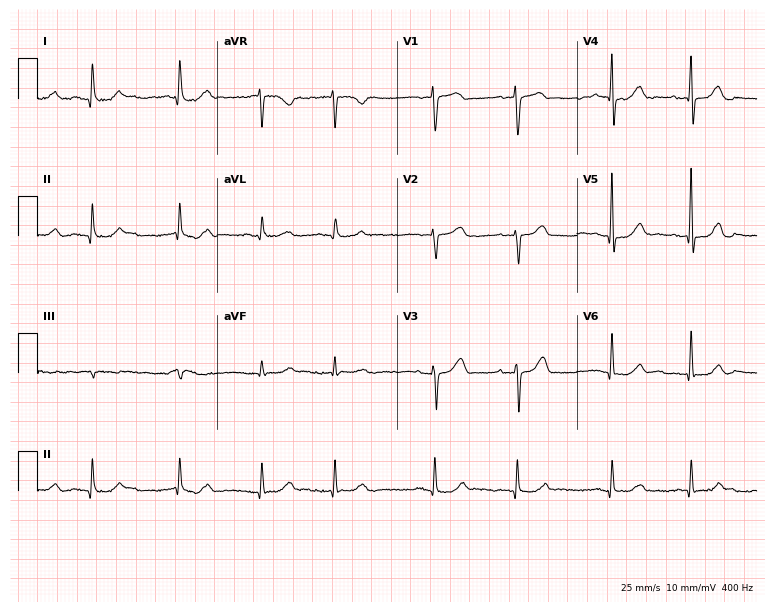
Resting 12-lead electrocardiogram (7.3-second recording at 400 Hz). Patient: a 76-year-old woman. Read as a normal ECG.